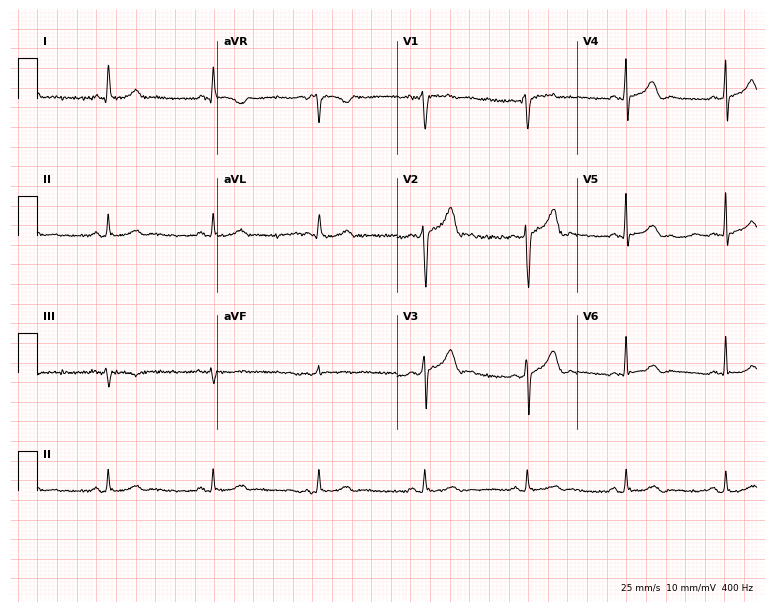
12-lead ECG from a male, 44 years old (7.3-second recording at 400 Hz). Recorded interpretation: within normal limits.